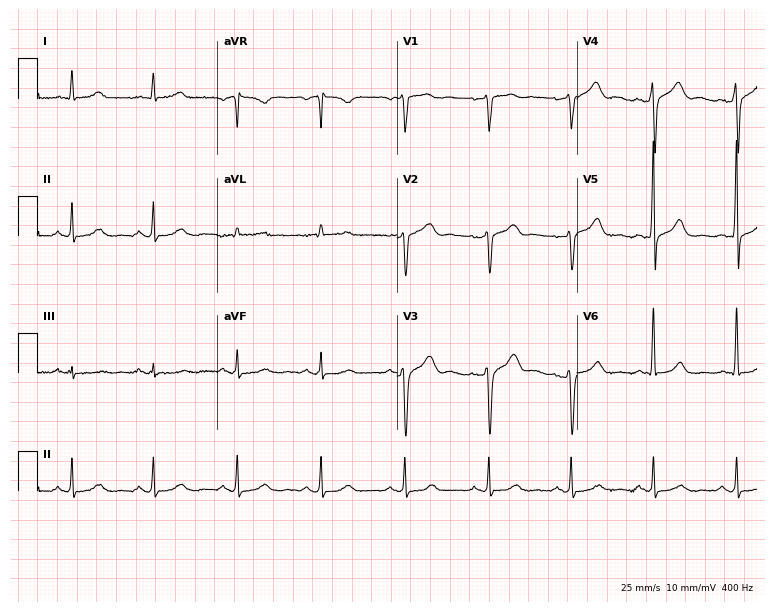
Electrocardiogram, a male, 59 years old. Of the six screened findings (first-degree AV block, right bundle branch block, left bundle branch block, sinus bradycardia, atrial fibrillation, sinus tachycardia), none is recorded. Other findings, if any, are not listed.